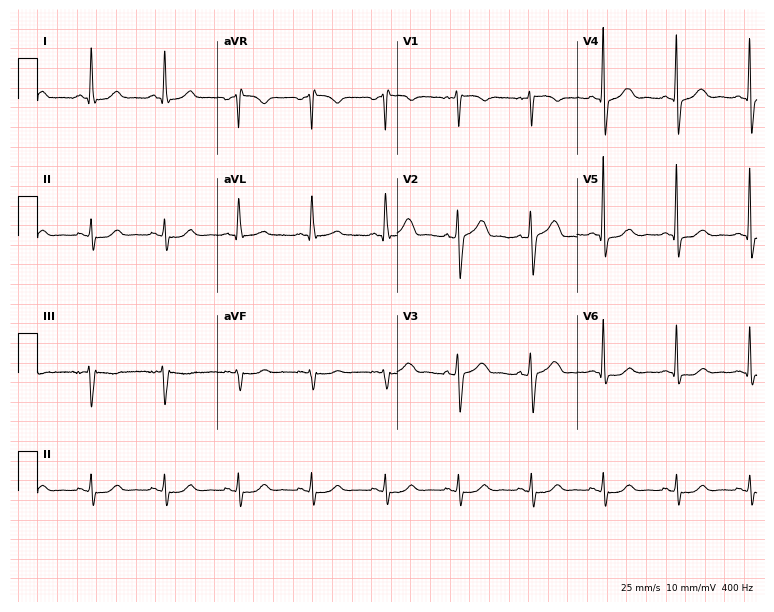
Electrocardiogram (7.3-second recording at 400 Hz), an 80-year-old man. Overall reading on record: normal ECG.